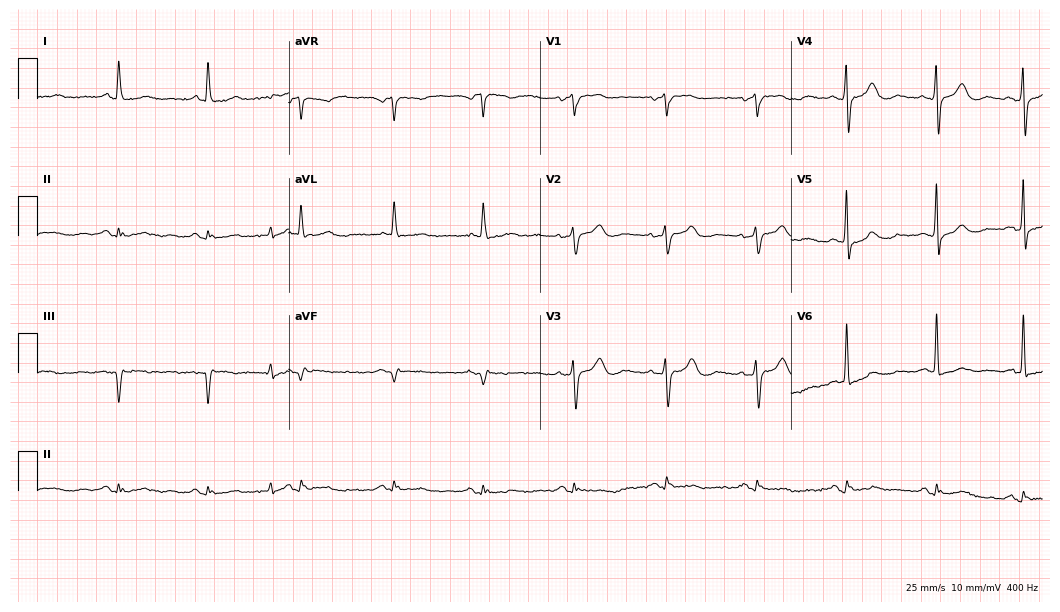
Electrocardiogram (10.2-second recording at 400 Hz), an 85-year-old man. Of the six screened findings (first-degree AV block, right bundle branch block, left bundle branch block, sinus bradycardia, atrial fibrillation, sinus tachycardia), none is recorded. Findings outside these six are not listed.